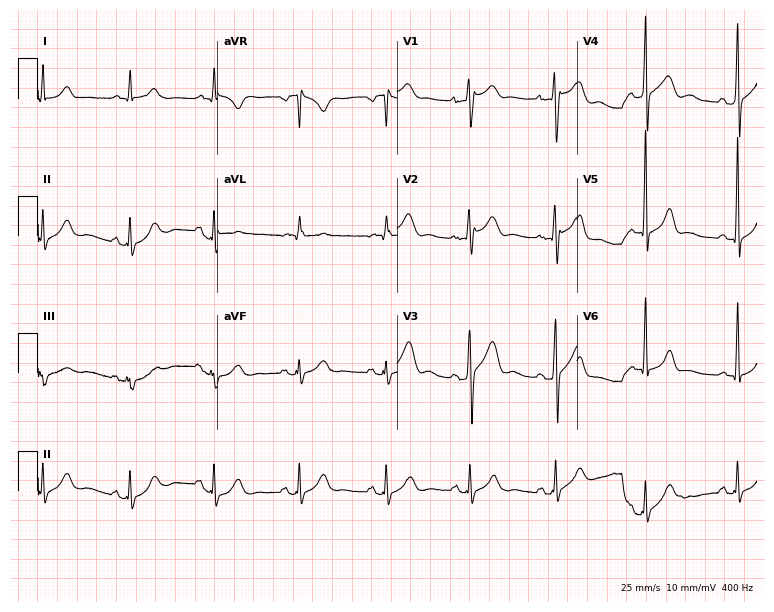
Standard 12-lead ECG recorded from a 47-year-old man. None of these six findings is recorded: first-degree AV block, right bundle branch block, left bundle branch block, sinus bradycardia, atrial fibrillation, sinus tachycardia.